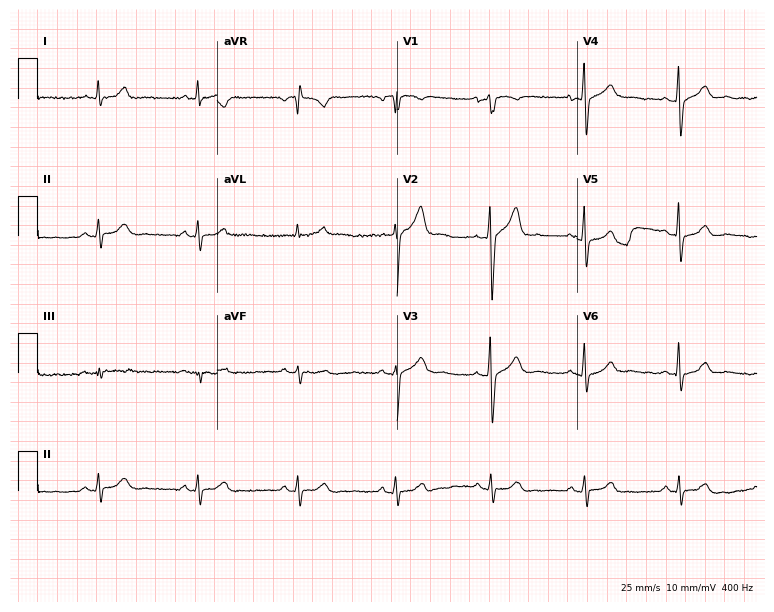
12-lead ECG (7.3-second recording at 400 Hz) from a male, 64 years old. Labelled as a normal ECG.